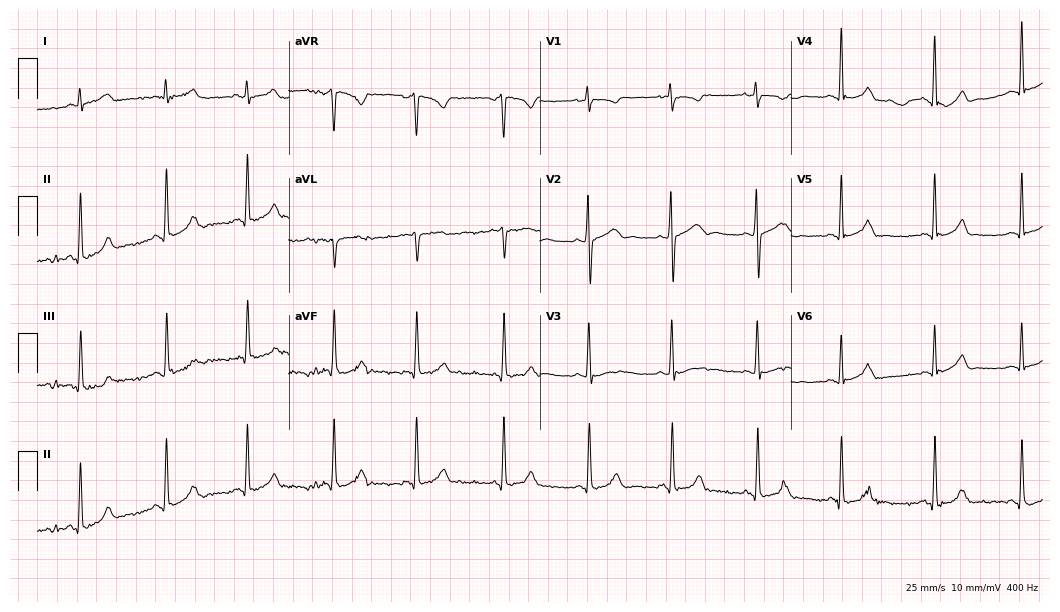
Standard 12-lead ECG recorded from a 17-year-old female patient. Read as a normal ECG.